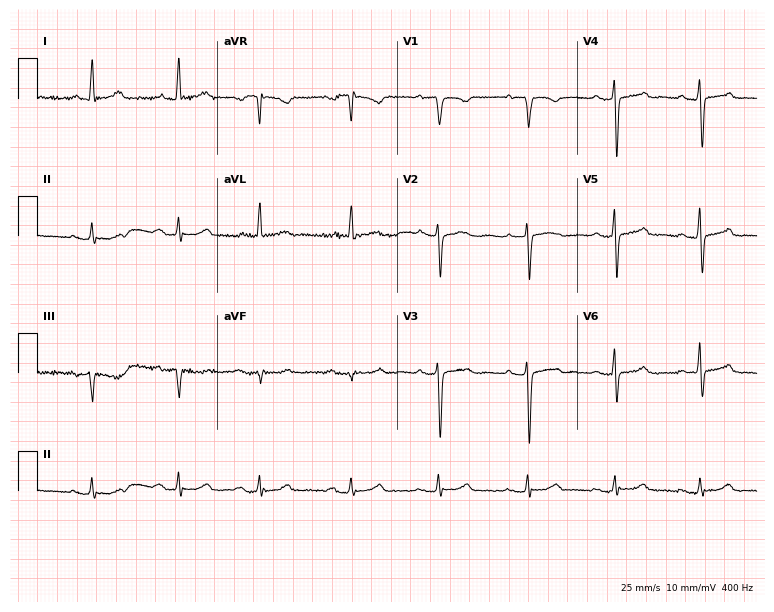
ECG (7.3-second recording at 400 Hz) — a 70-year-old female. Findings include first-degree AV block.